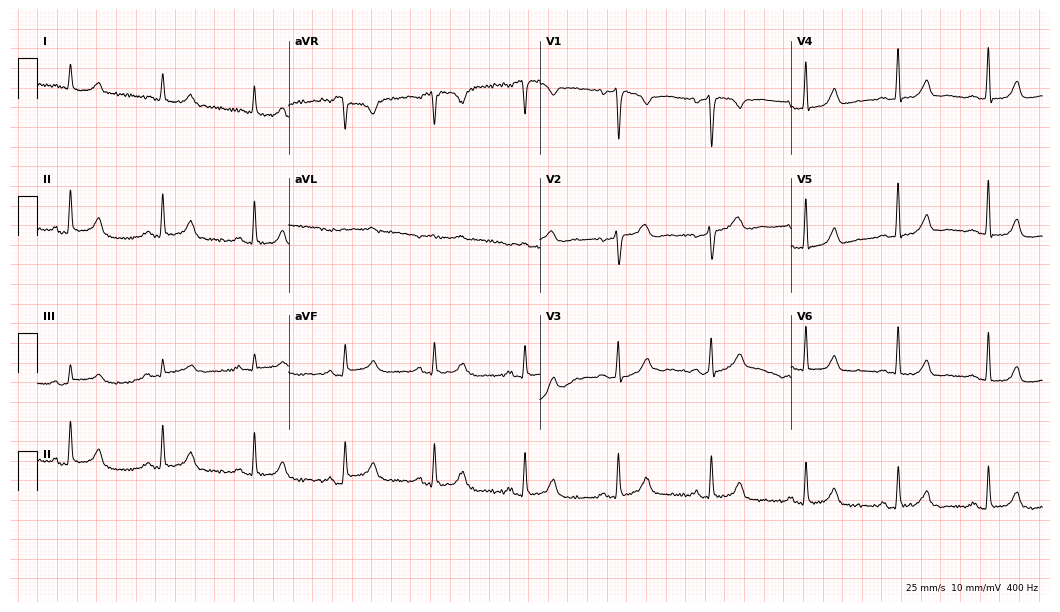
12-lead ECG from a woman, 53 years old. Labelled as a normal ECG.